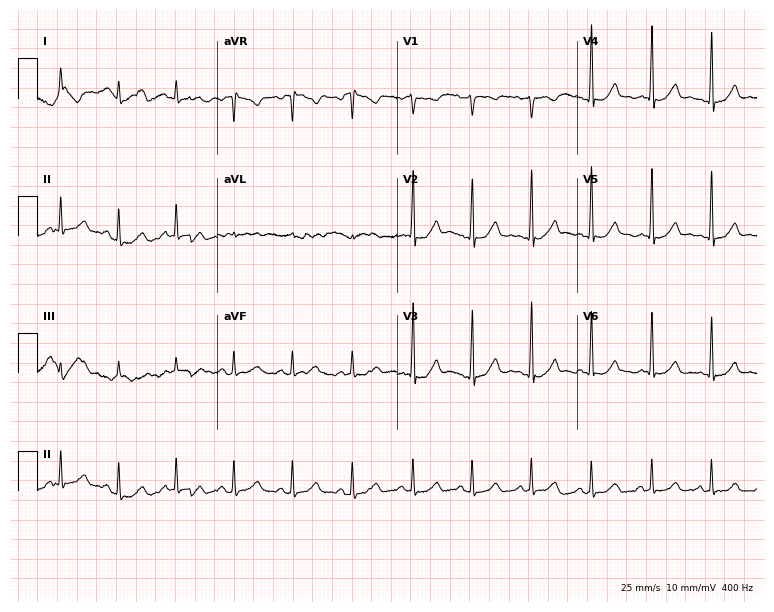
12-lead ECG from a 44-year-old woman (7.3-second recording at 400 Hz). Recorded interpretation: within normal limits.